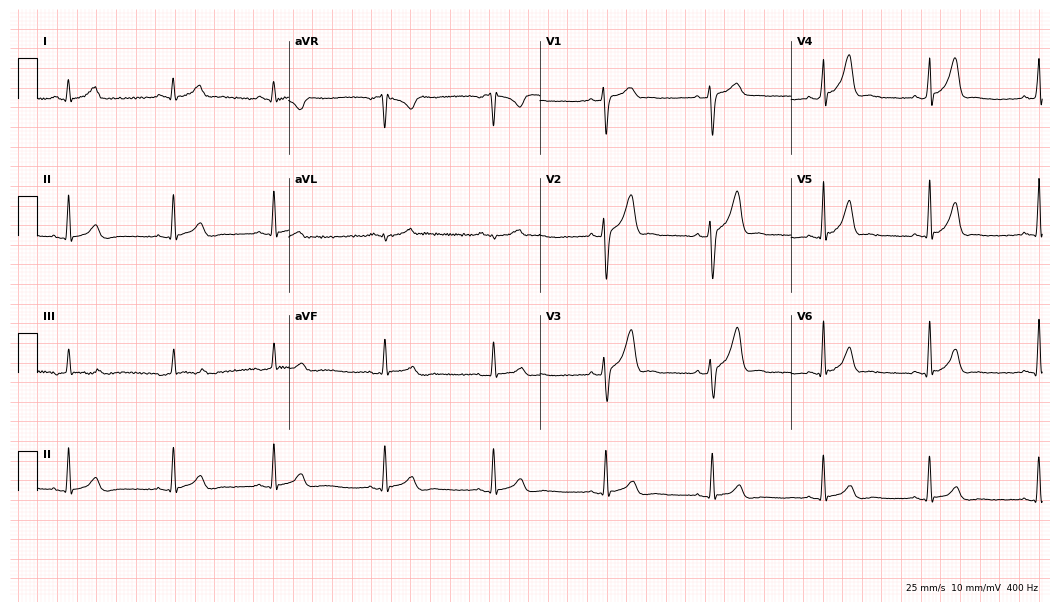
12-lead ECG from a 30-year-old male patient. Recorded interpretation: within normal limits.